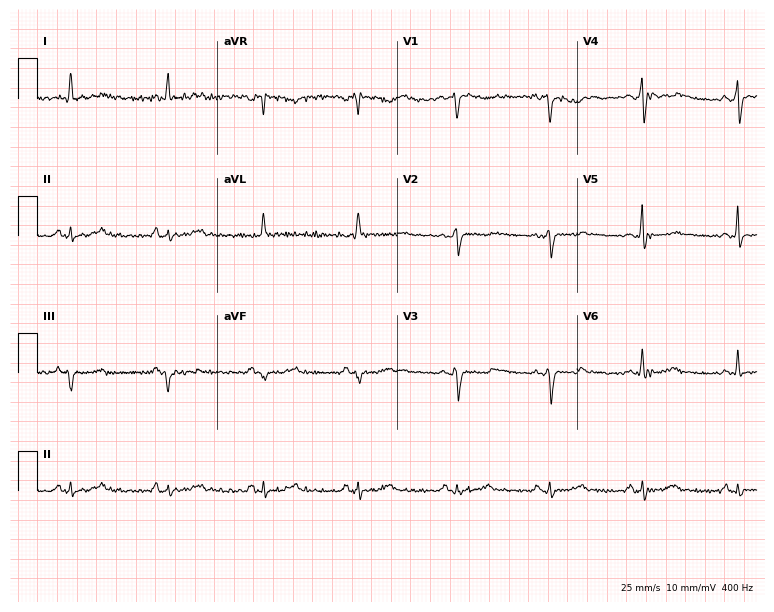
Standard 12-lead ECG recorded from a 54-year-old woman. None of these six findings is recorded: first-degree AV block, right bundle branch block, left bundle branch block, sinus bradycardia, atrial fibrillation, sinus tachycardia. Other findings, if any, are not listed.